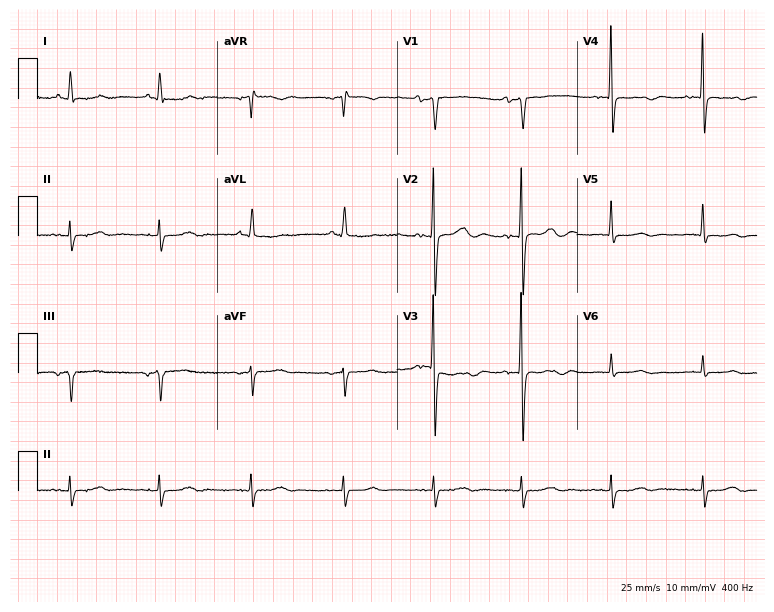
12-lead ECG (7.3-second recording at 400 Hz) from a woman, 74 years old. Screened for six findings — first-degree AV block, right bundle branch block, left bundle branch block, sinus bradycardia, atrial fibrillation, sinus tachycardia — none is recorded.